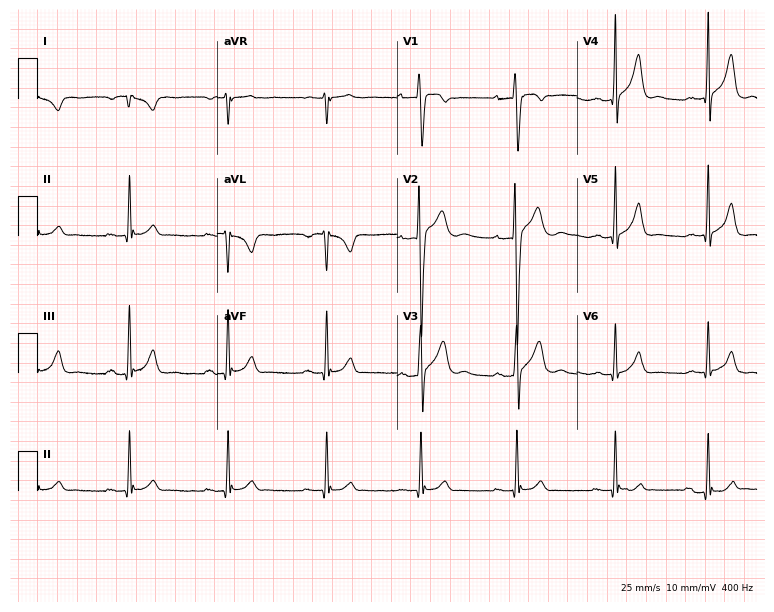
Resting 12-lead electrocardiogram (7.3-second recording at 400 Hz). Patient: a male, 31 years old. Read as a normal ECG.